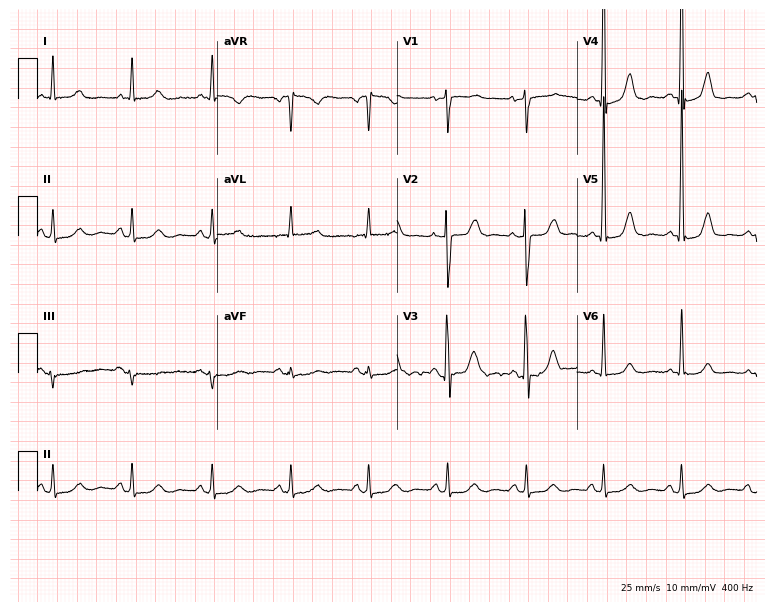
Resting 12-lead electrocardiogram (7.3-second recording at 400 Hz). Patient: a 69-year-old woman. Read as a normal ECG.